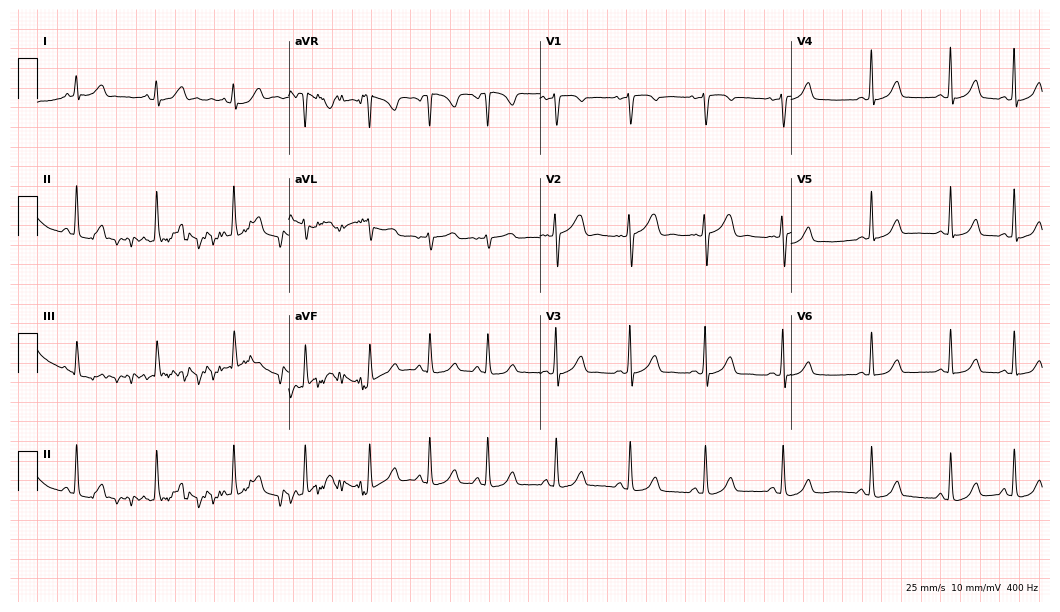
Standard 12-lead ECG recorded from a female, 18 years old. Read as a normal ECG.